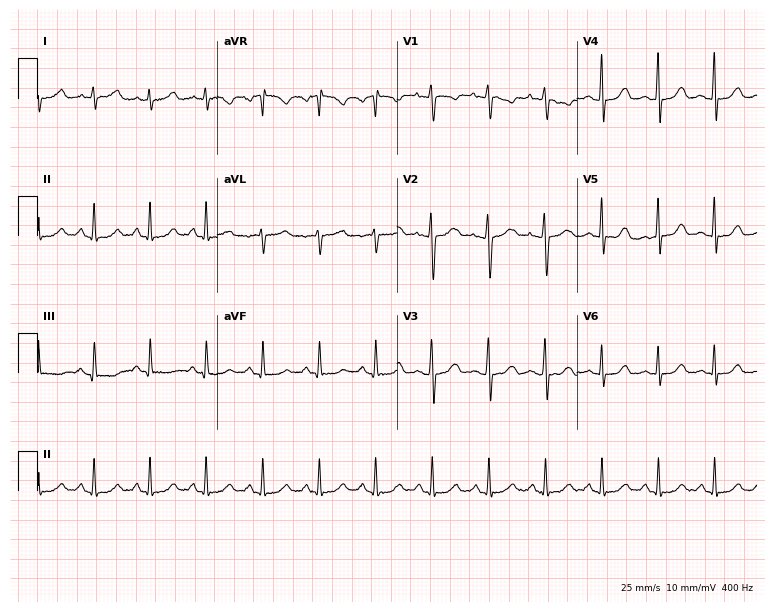
Resting 12-lead electrocardiogram (7.3-second recording at 400 Hz). Patient: a female, 23 years old. The tracing shows sinus tachycardia (a sinus rate of 100 beats per minute or more).